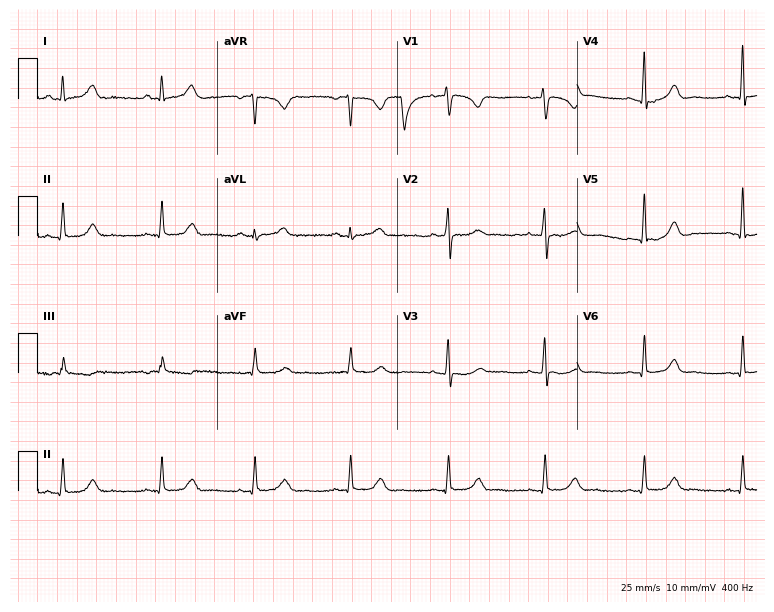
Electrocardiogram (7.3-second recording at 400 Hz), a 43-year-old female. Overall reading on record: normal ECG.